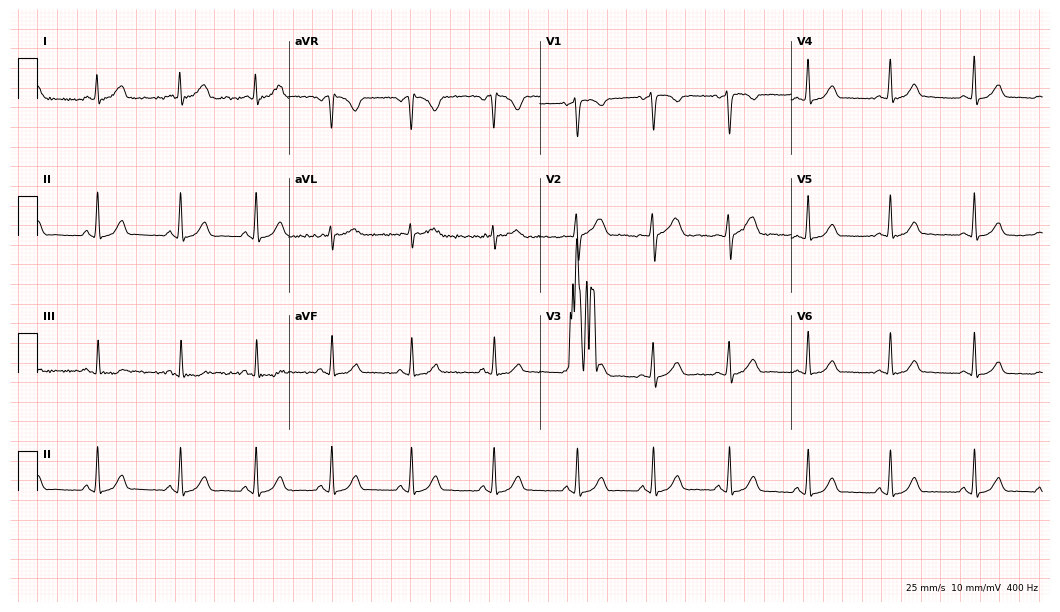
12-lead ECG from a 40-year-old female. No first-degree AV block, right bundle branch block, left bundle branch block, sinus bradycardia, atrial fibrillation or sinus tachycardia recorded for this tracing. Other findings, if any, are not listed.